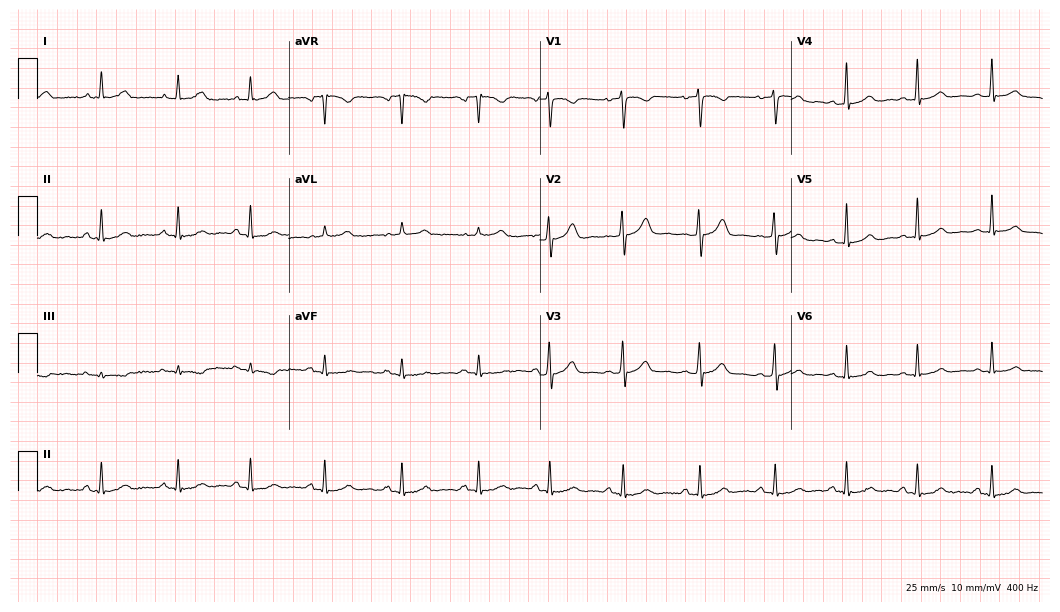
Electrocardiogram (10.2-second recording at 400 Hz), a female patient, 26 years old. Overall reading on record: normal ECG.